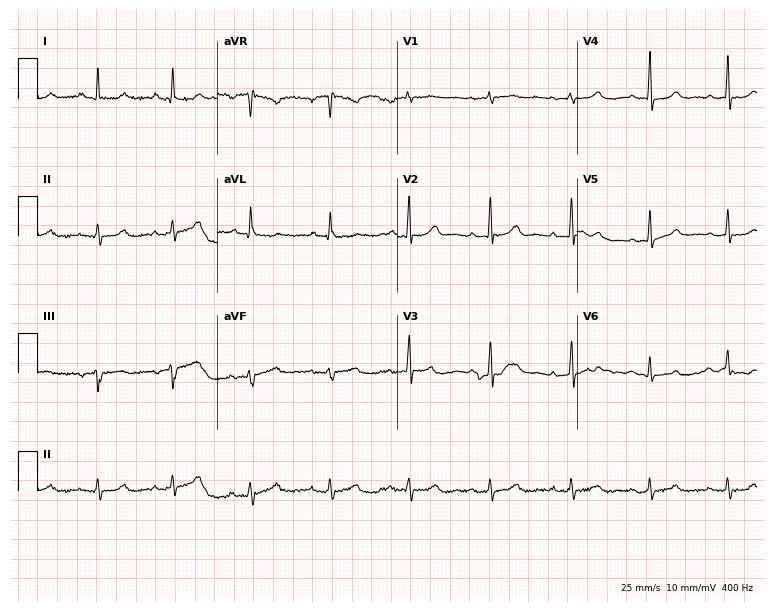
Electrocardiogram (7.3-second recording at 400 Hz), a 52-year-old female. Overall reading on record: normal ECG.